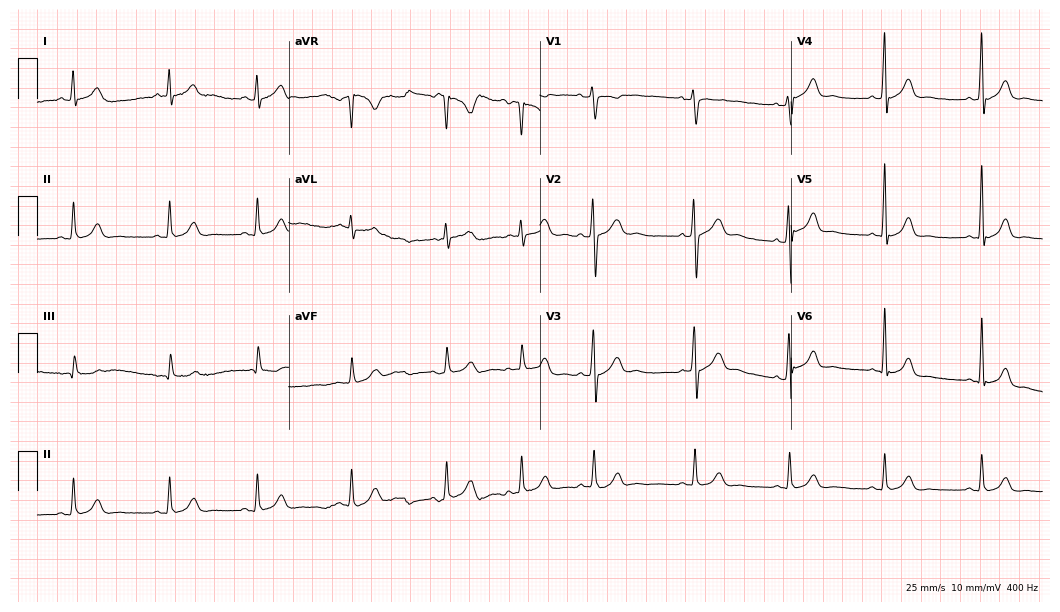
Standard 12-lead ECG recorded from a male, 28 years old. Read as a normal ECG.